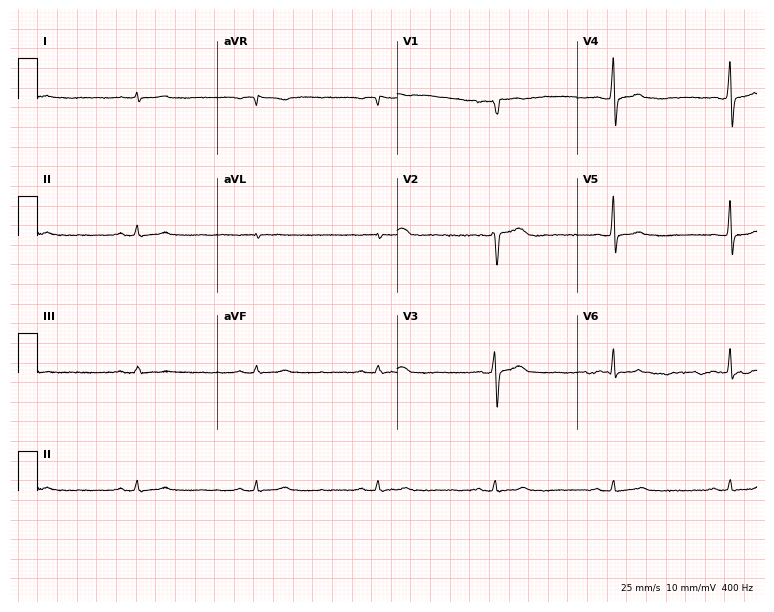
ECG (7.3-second recording at 400 Hz) — a man, 53 years old. Findings include sinus bradycardia (a sinus rate of 50 beats per minute or less).